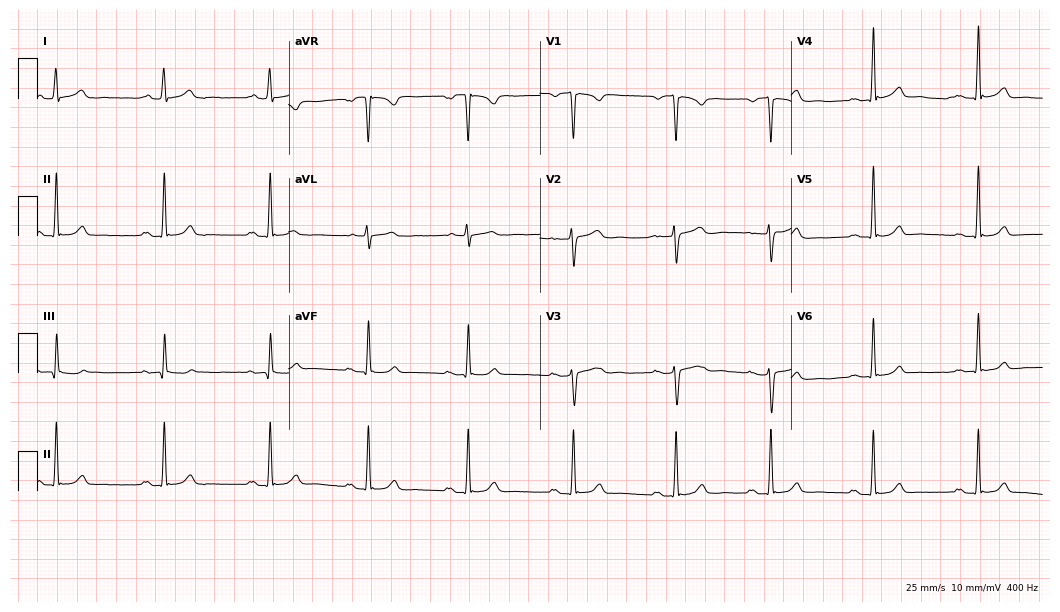
Electrocardiogram, a 36-year-old woman. Overall reading on record: normal ECG.